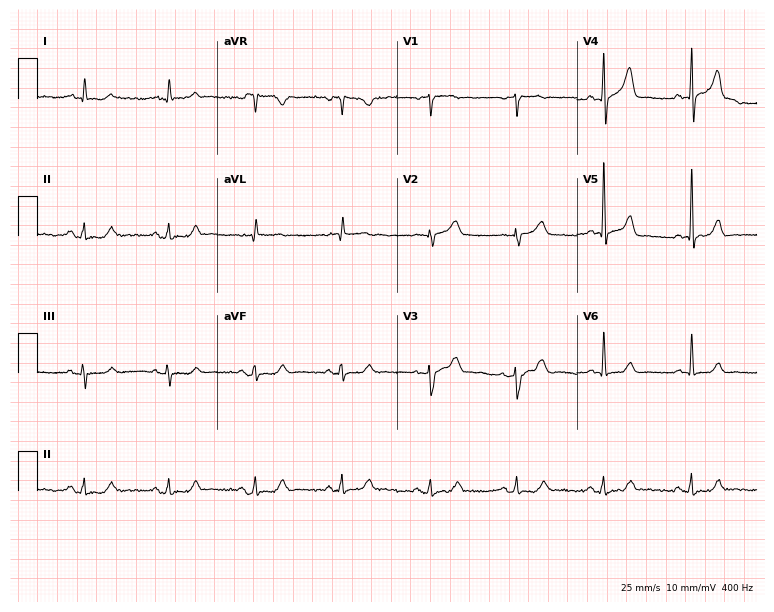
12-lead ECG from a man, 63 years old. Recorded interpretation: within normal limits.